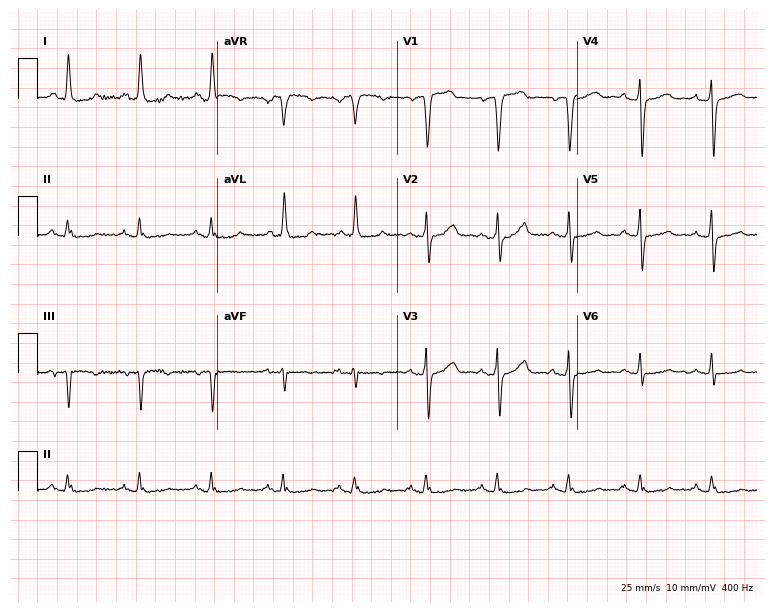
ECG (7.3-second recording at 400 Hz) — a 68-year-old woman. Labelled as a normal ECG.